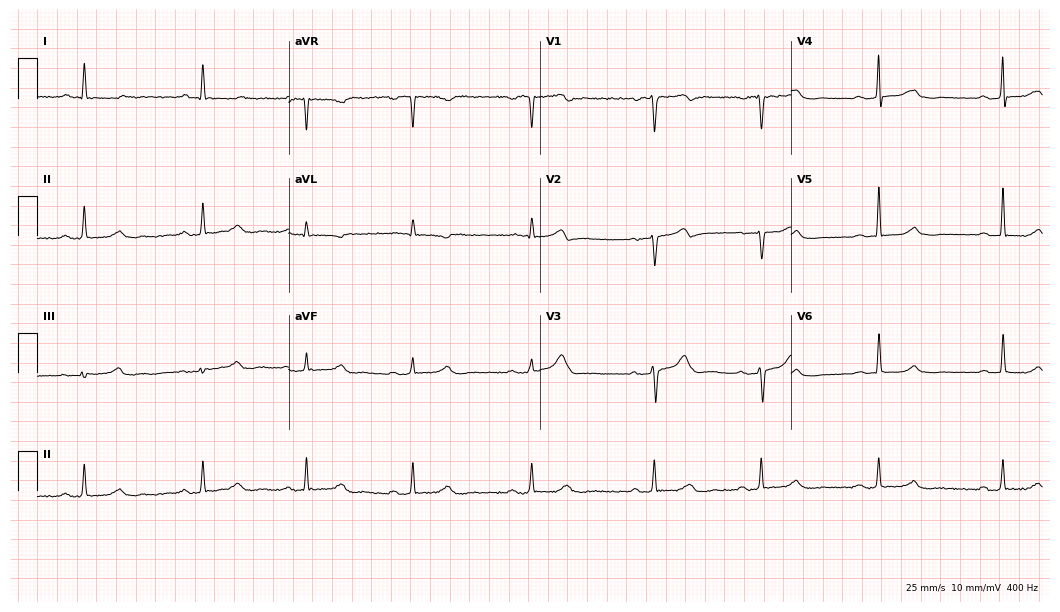
Resting 12-lead electrocardiogram. Patient: a woman, 62 years old. Read as a normal ECG.